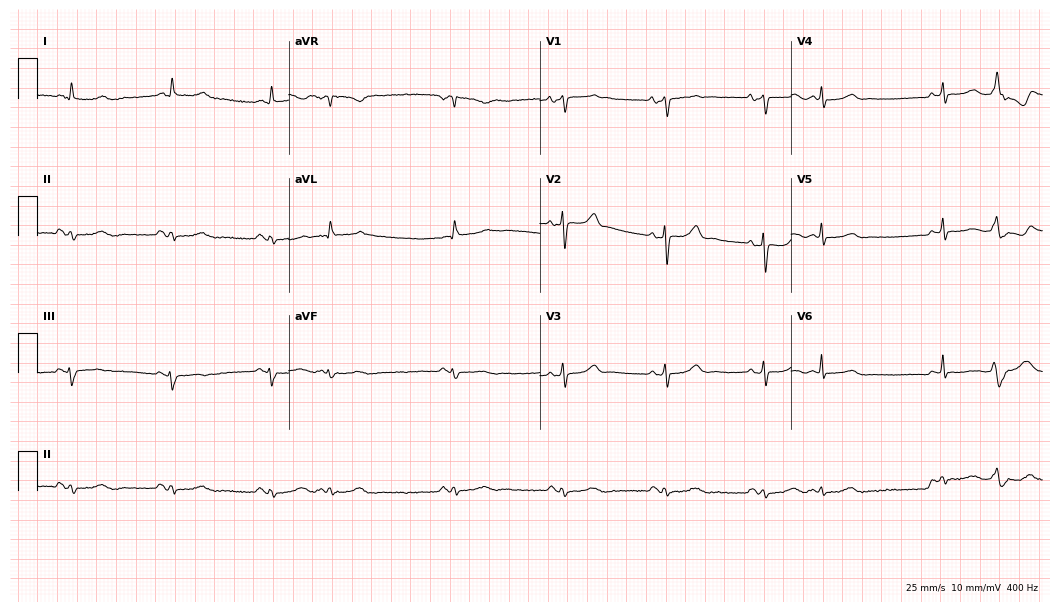
Resting 12-lead electrocardiogram (10.2-second recording at 400 Hz). Patient: a 42-year-old woman. None of these six findings is recorded: first-degree AV block, right bundle branch block, left bundle branch block, sinus bradycardia, atrial fibrillation, sinus tachycardia. Other findings, if any, are not listed.